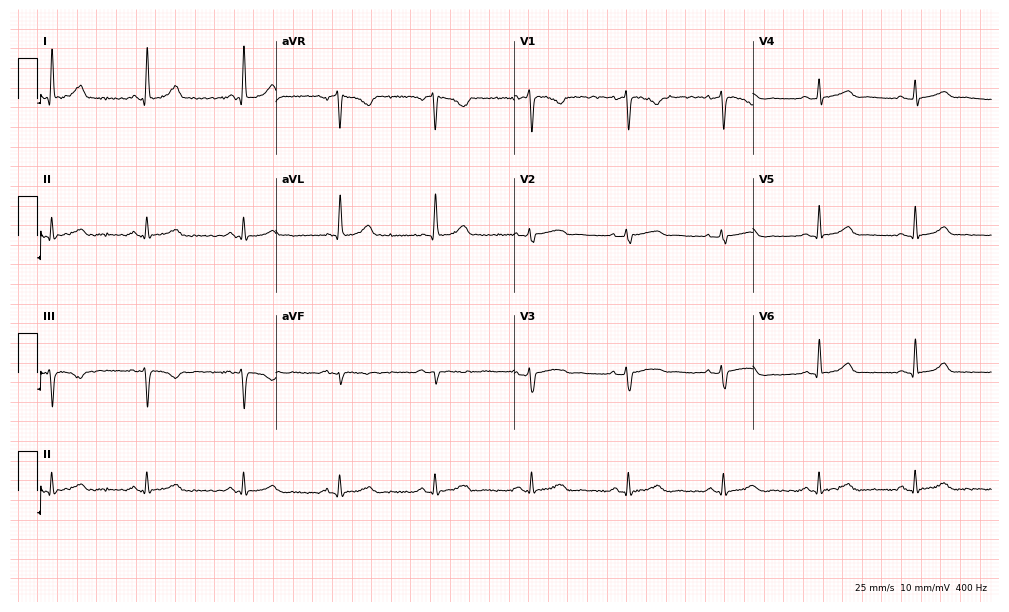
Electrocardiogram (9.7-second recording at 400 Hz), a female, 37 years old. Overall reading on record: normal ECG.